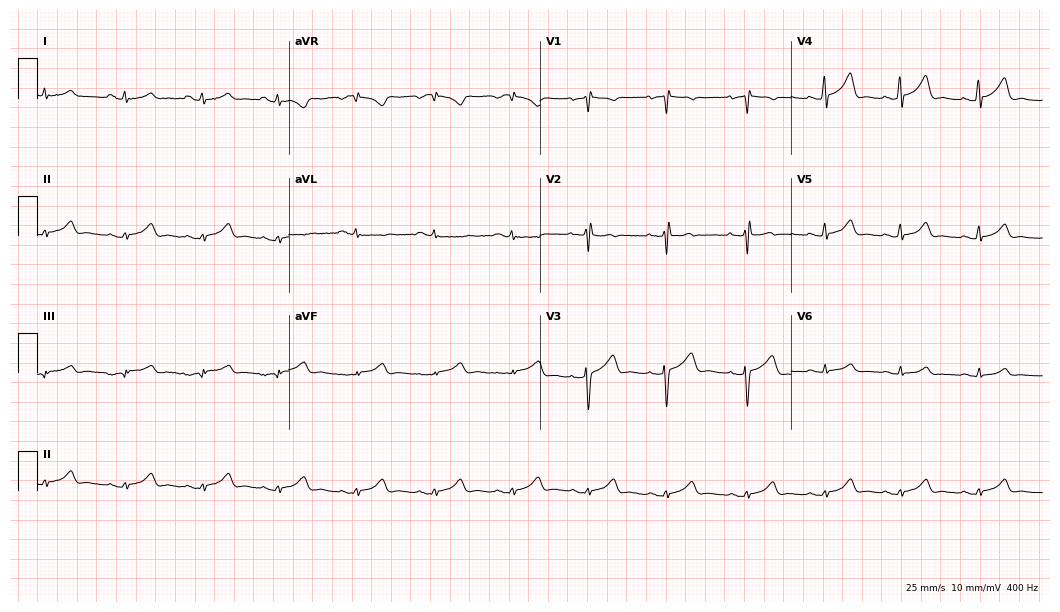
Standard 12-lead ECG recorded from a female patient, 36 years old (10.2-second recording at 400 Hz). None of these six findings is recorded: first-degree AV block, right bundle branch block, left bundle branch block, sinus bradycardia, atrial fibrillation, sinus tachycardia.